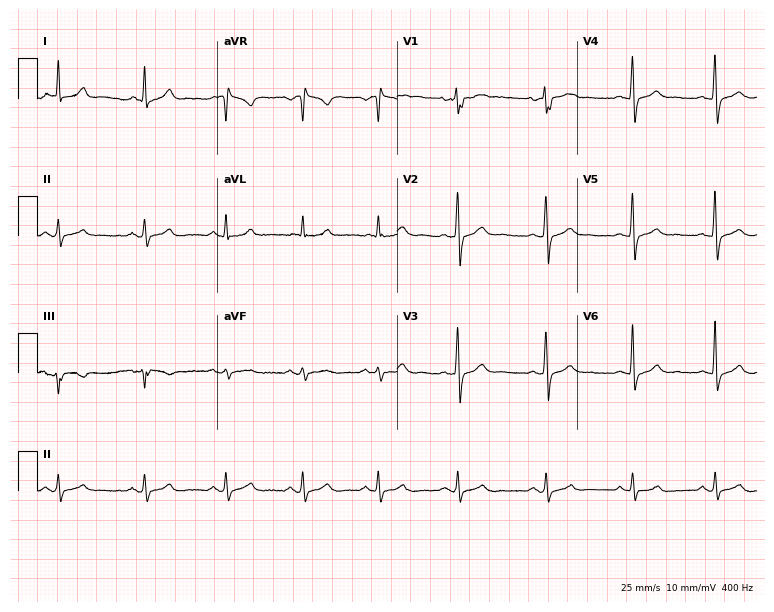
Resting 12-lead electrocardiogram (7.3-second recording at 400 Hz). Patient: a male, 35 years old. Read as a normal ECG.